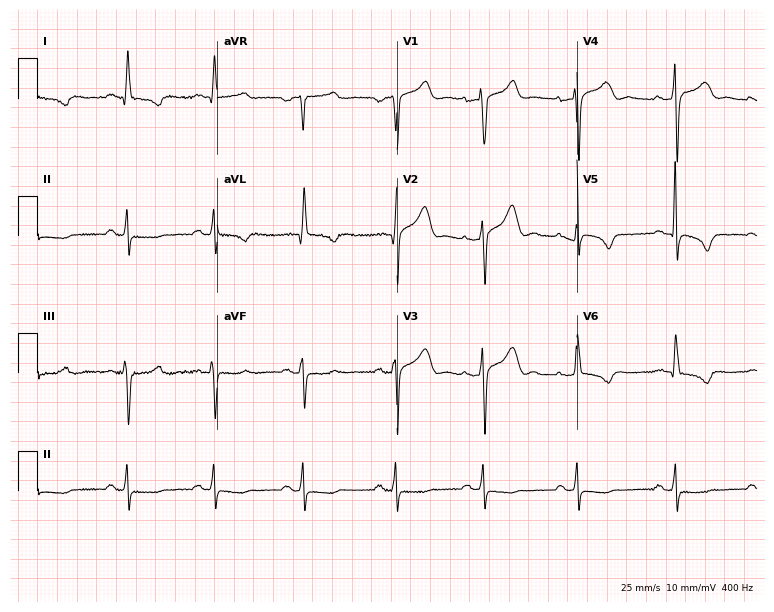
Standard 12-lead ECG recorded from a 61-year-old male patient (7.3-second recording at 400 Hz). None of these six findings is recorded: first-degree AV block, right bundle branch block, left bundle branch block, sinus bradycardia, atrial fibrillation, sinus tachycardia. Only these six findings were labelled.